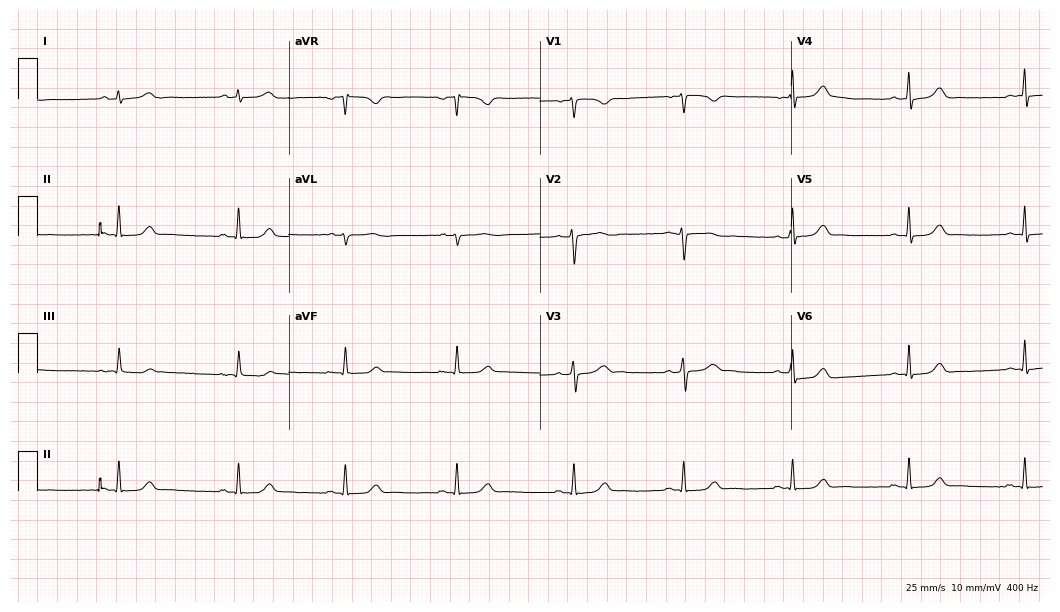
ECG — a woman, 23 years old. Screened for six findings — first-degree AV block, right bundle branch block, left bundle branch block, sinus bradycardia, atrial fibrillation, sinus tachycardia — none is recorded.